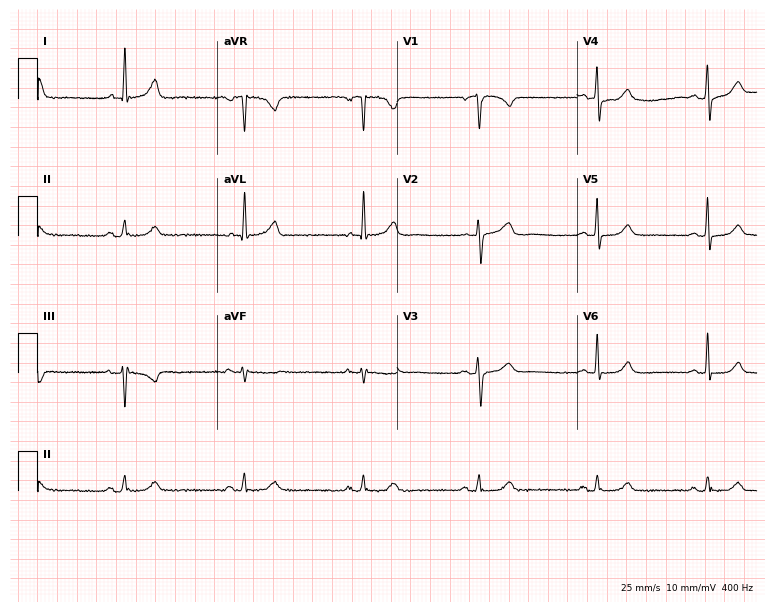
Electrocardiogram, a 72-year-old female patient. Overall reading on record: normal ECG.